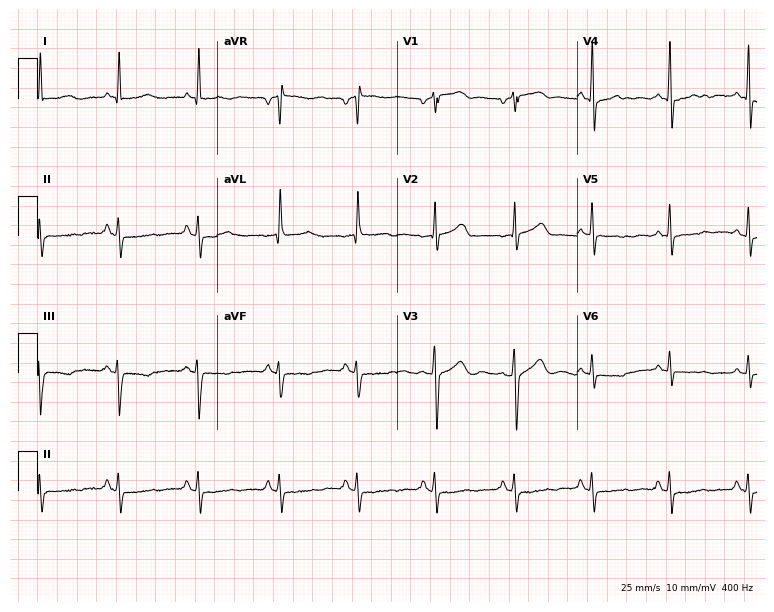
Electrocardiogram, a female, 59 years old. Of the six screened findings (first-degree AV block, right bundle branch block (RBBB), left bundle branch block (LBBB), sinus bradycardia, atrial fibrillation (AF), sinus tachycardia), none is recorded.